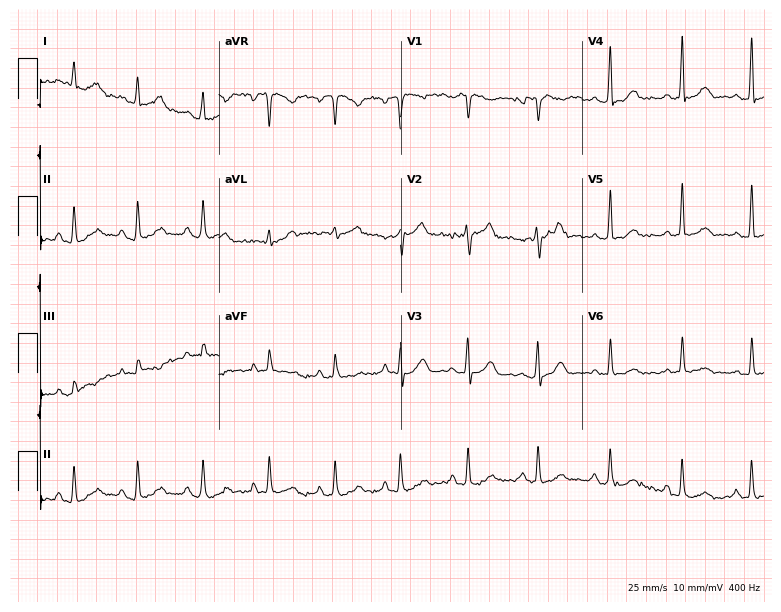
12-lead ECG from a female, 51 years old. No first-degree AV block, right bundle branch block, left bundle branch block, sinus bradycardia, atrial fibrillation or sinus tachycardia recorded for this tracing. Only these six findings were labelled.